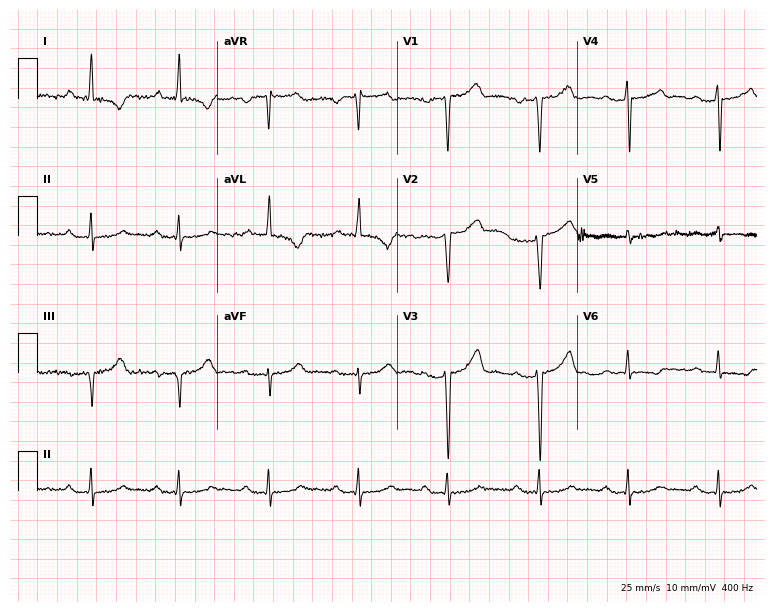
ECG (7.3-second recording at 400 Hz) — a 51-year-old female patient. Findings include first-degree AV block.